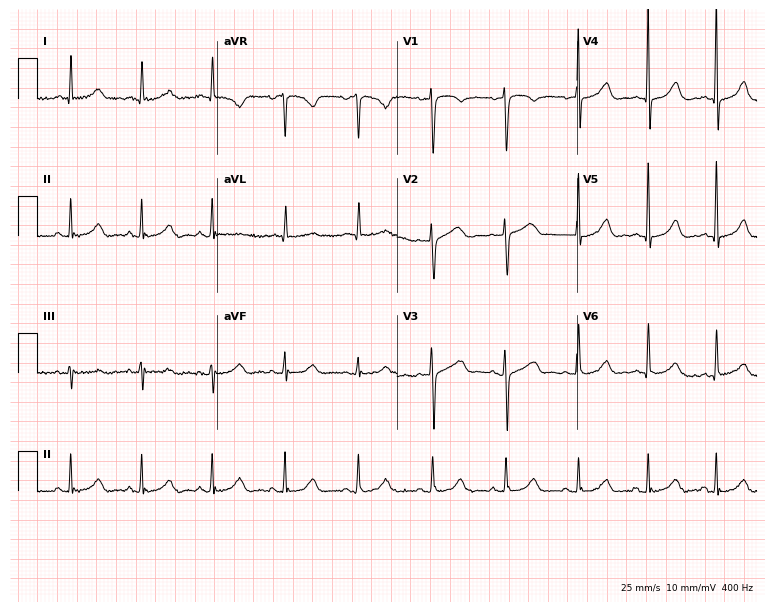
12-lead ECG from a female, 47 years old. Recorded interpretation: within normal limits.